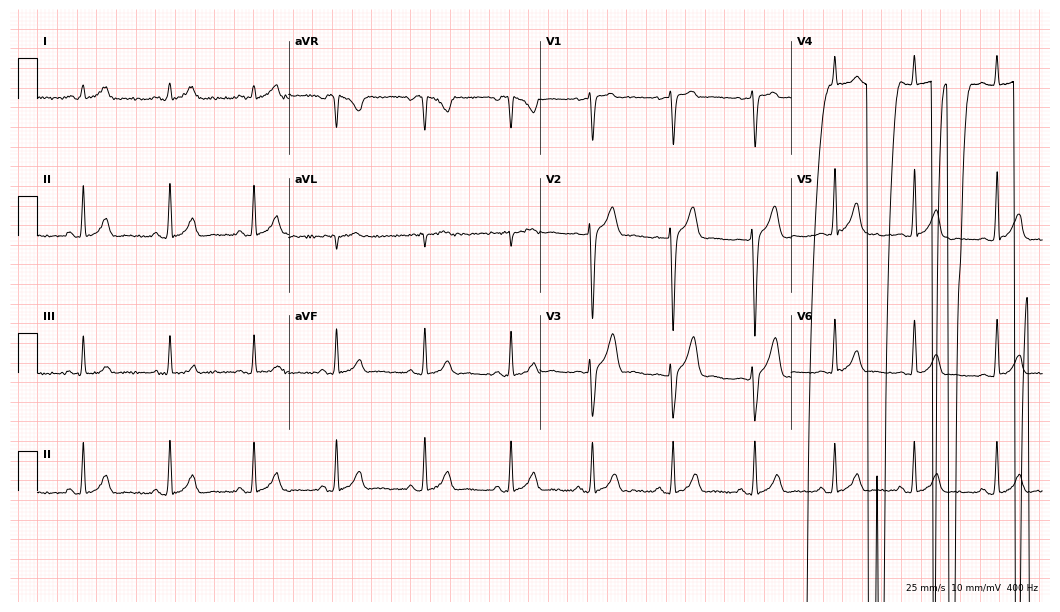
Resting 12-lead electrocardiogram (10.2-second recording at 400 Hz). Patient: a 29-year-old man. None of these six findings is recorded: first-degree AV block, right bundle branch block, left bundle branch block, sinus bradycardia, atrial fibrillation, sinus tachycardia.